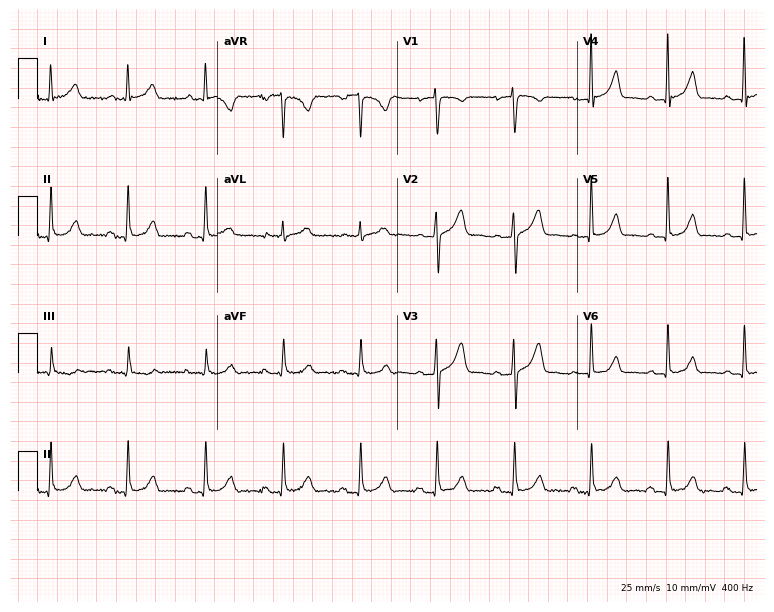
Electrocardiogram, a 61-year-old woman. Overall reading on record: normal ECG.